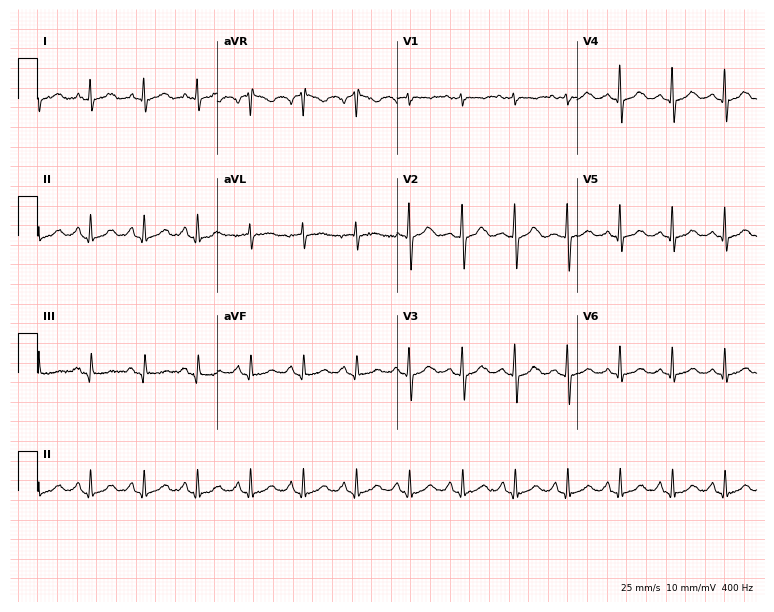
Electrocardiogram, a 57-year-old female patient. Interpretation includes sinus tachycardia (a sinus rate of 100 beats per minute or more).